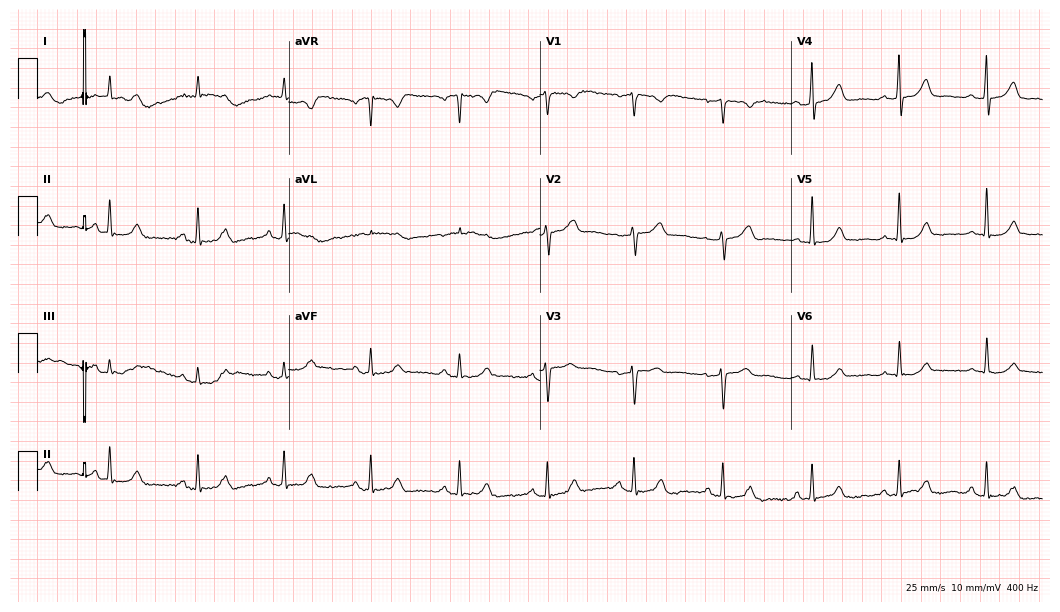
Resting 12-lead electrocardiogram (10.2-second recording at 400 Hz). Patient: a woman, 49 years old. Read as a normal ECG.